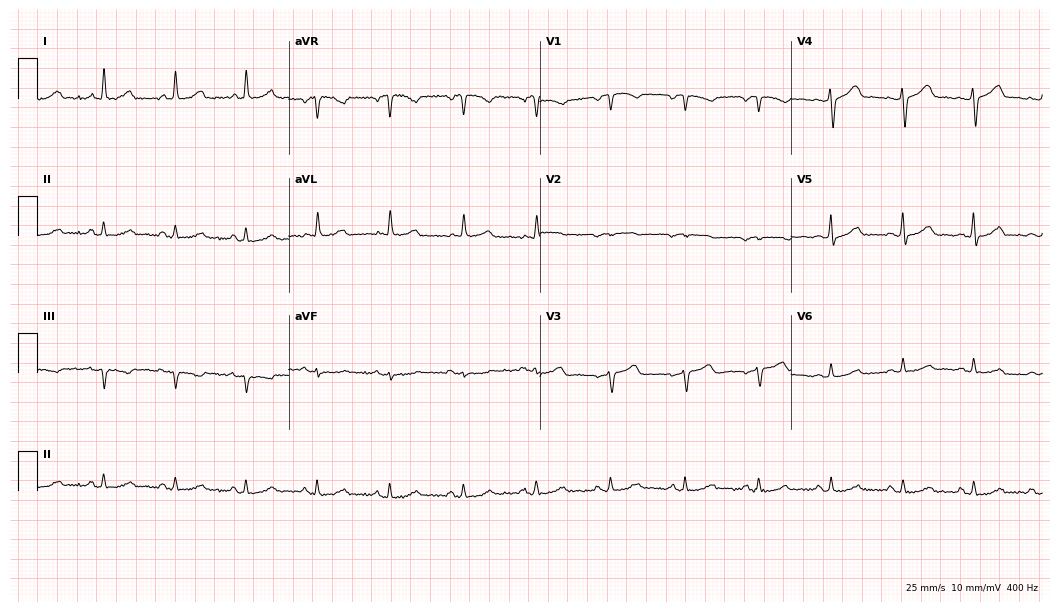
Electrocardiogram, a woman, 58 years old. Overall reading on record: normal ECG.